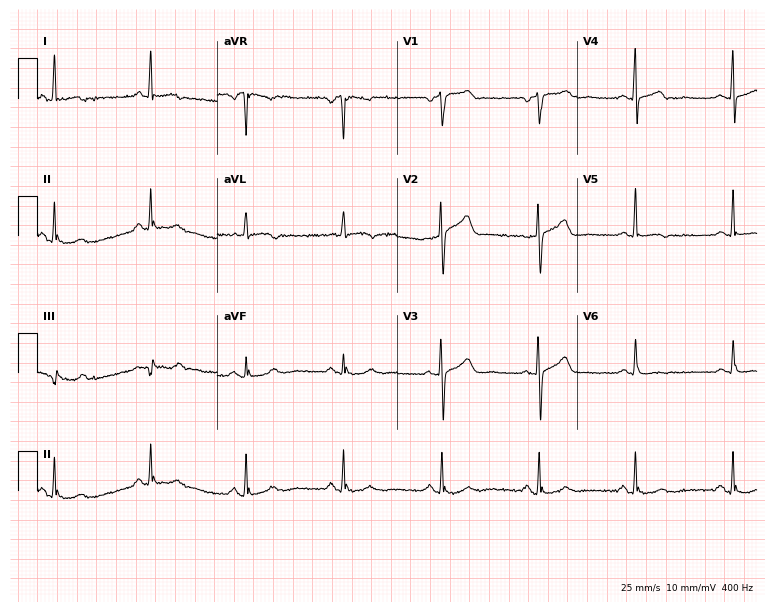
ECG (7.3-second recording at 400 Hz) — a woman, 62 years old. Labelled as a normal ECG.